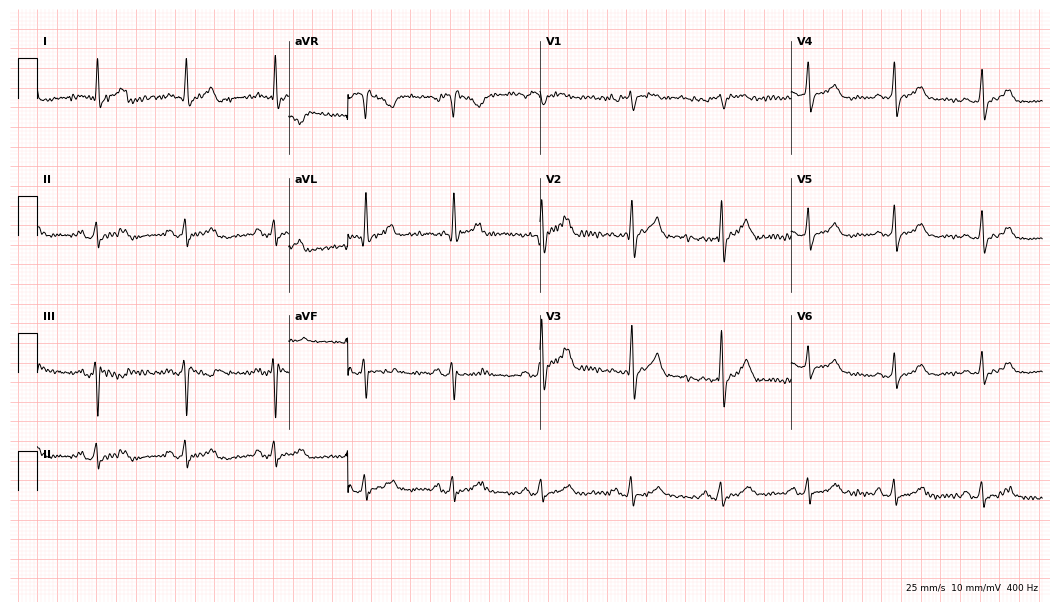
12-lead ECG (10.2-second recording at 400 Hz) from a 59-year-old female patient. Screened for six findings — first-degree AV block, right bundle branch block (RBBB), left bundle branch block (LBBB), sinus bradycardia, atrial fibrillation (AF), sinus tachycardia — none is recorded. Findings outside these six are not listed.